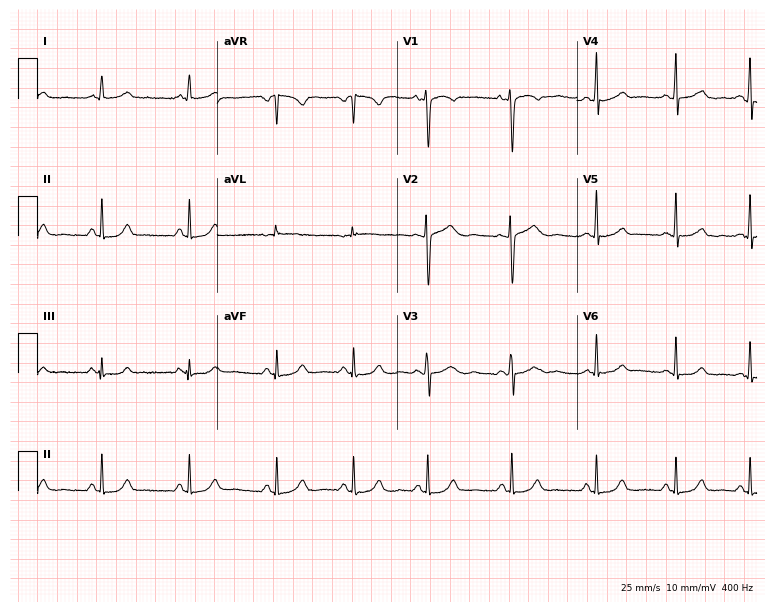
Standard 12-lead ECG recorded from a female, 42 years old (7.3-second recording at 400 Hz). Read as a normal ECG.